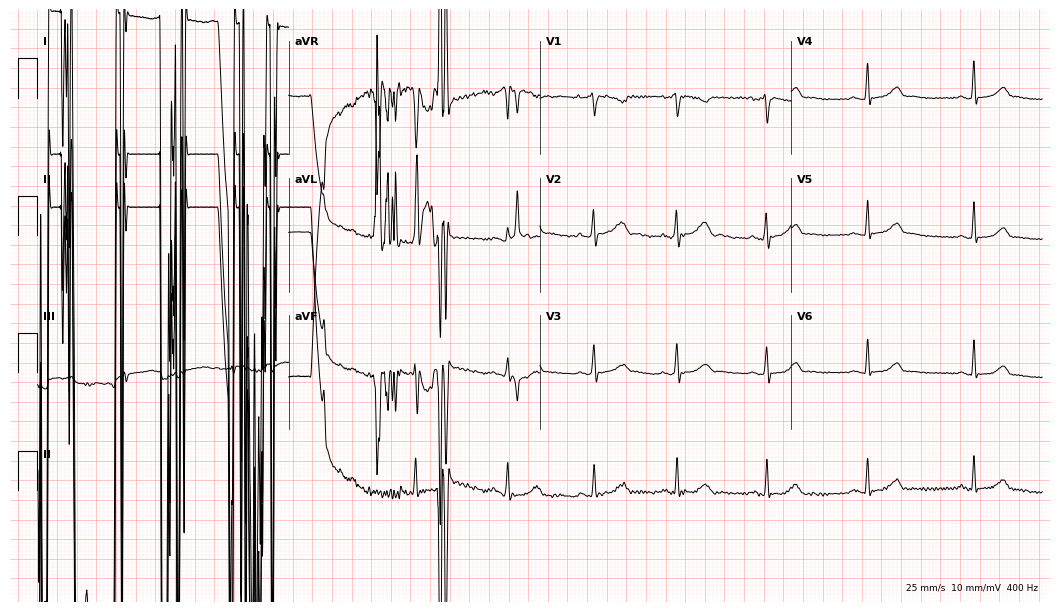
12-lead ECG from a female patient, 32 years old. Screened for six findings — first-degree AV block, right bundle branch block, left bundle branch block, sinus bradycardia, atrial fibrillation, sinus tachycardia — none is recorded. Other findings, if any, are not listed.